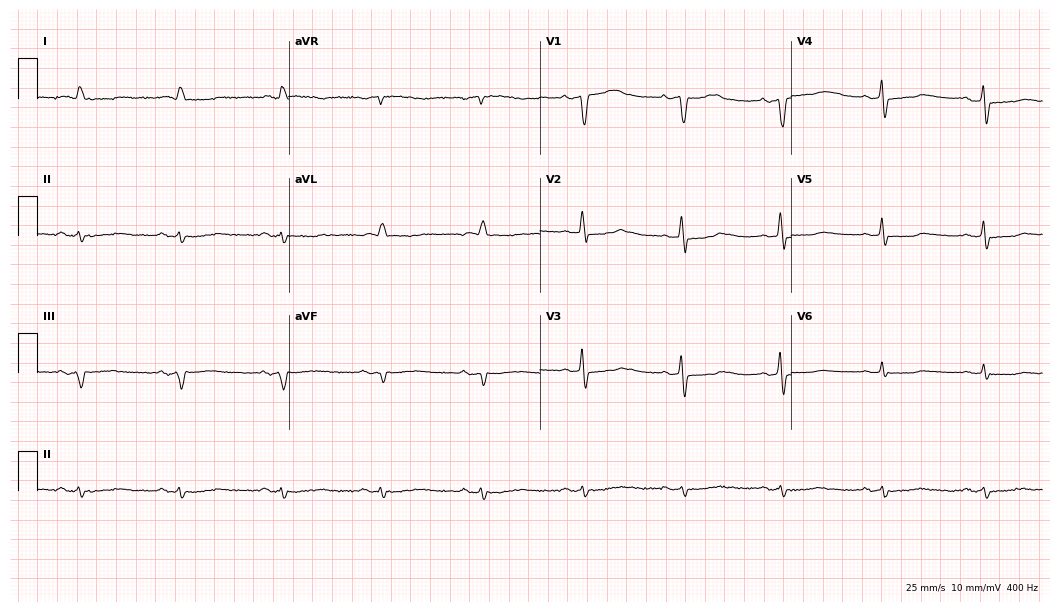
Resting 12-lead electrocardiogram (10.2-second recording at 400 Hz). Patient: a 74-year-old male. None of these six findings is recorded: first-degree AV block, right bundle branch block, left bundle branch block, sinus bradycardia, atrial fibrillation, sinus tachycardia.